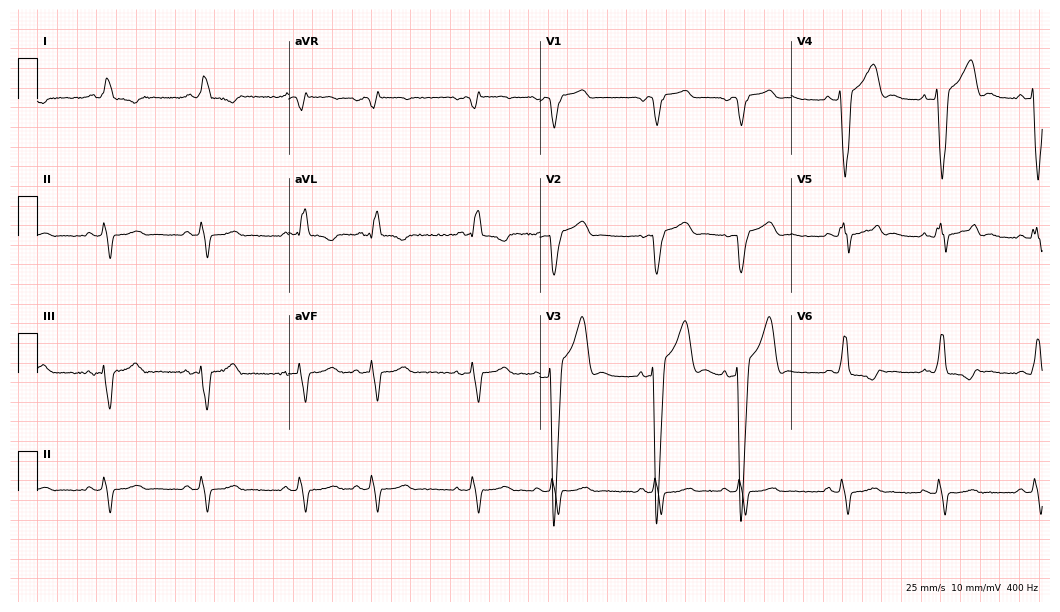
ECG — a 77-year-old male patient. Findings include left bundle branch block (LBBB).